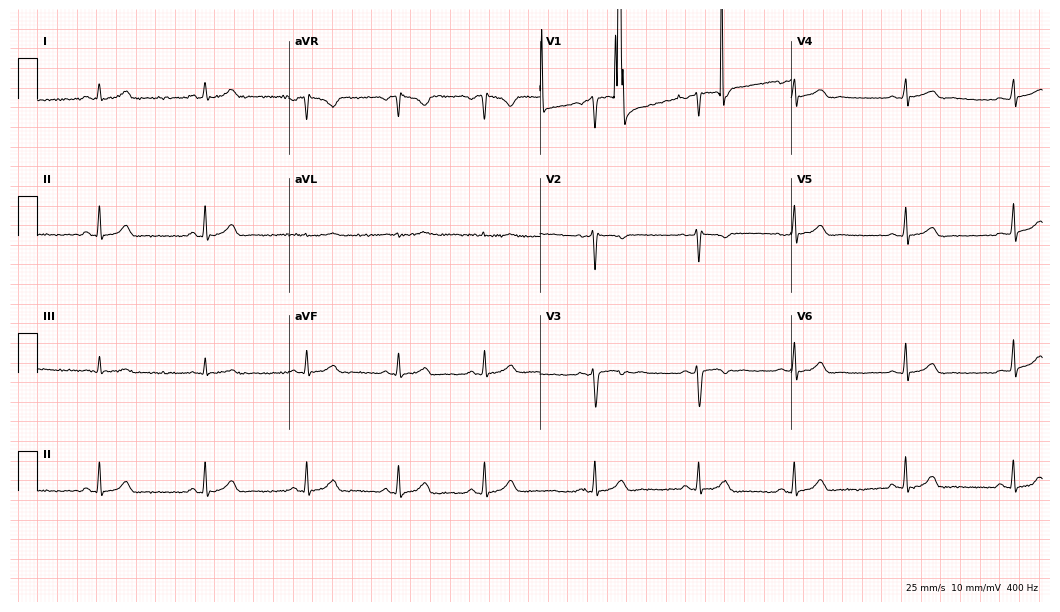
12-lead ECG from a 22-year-old female. No first-degree AV block, right bundle branch block, left bundle branch block, sinus bradycardia, atrial fibrillation or sinus tachycardia recorded for this tracing. Only these six findings were labelled.